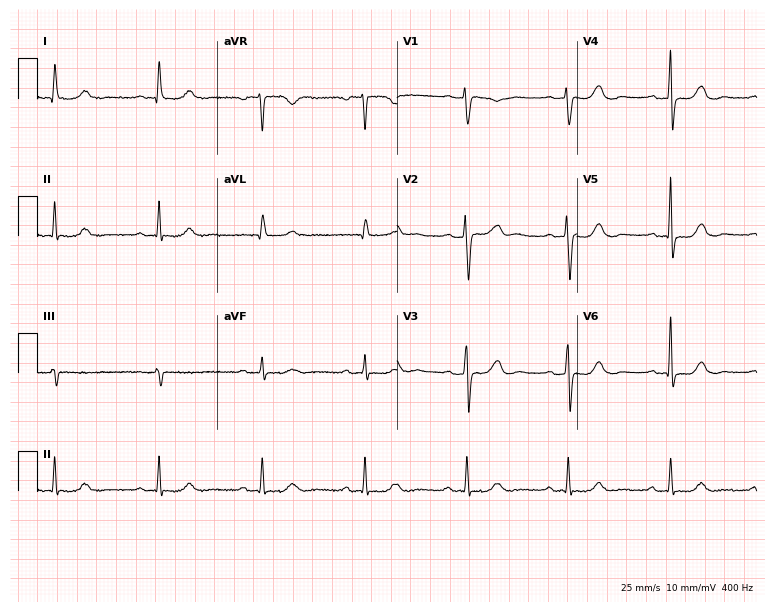
Electrocardiogram (7.3-second recording at 400 Hz), a female patient, 61 years old. Overall reading on record: normal ECG.